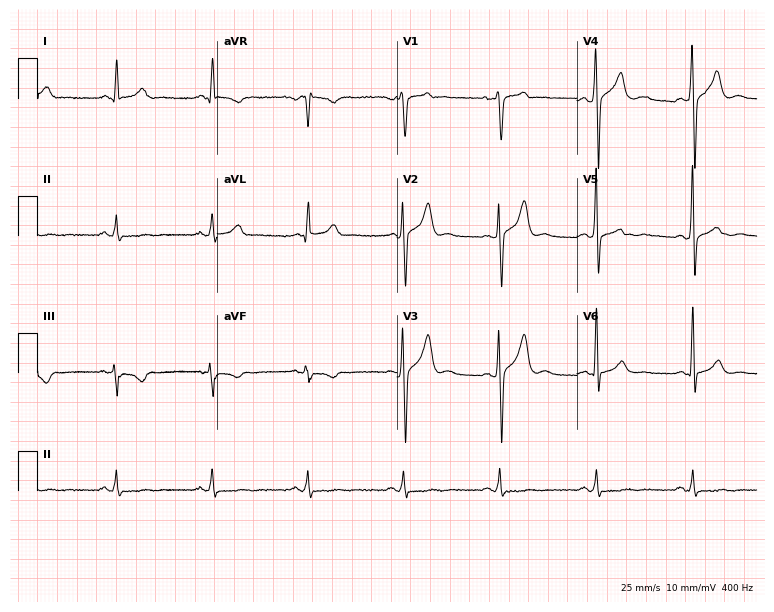
ECG (7.3-second recording at 400 Hz) — a man, 51 years old. Screened for six findings — first-degree AV block, right bundle branch block, left bundle branch block, sinus bradycardia, atrial fibrillation, sinus tachycardia — none is recorded.